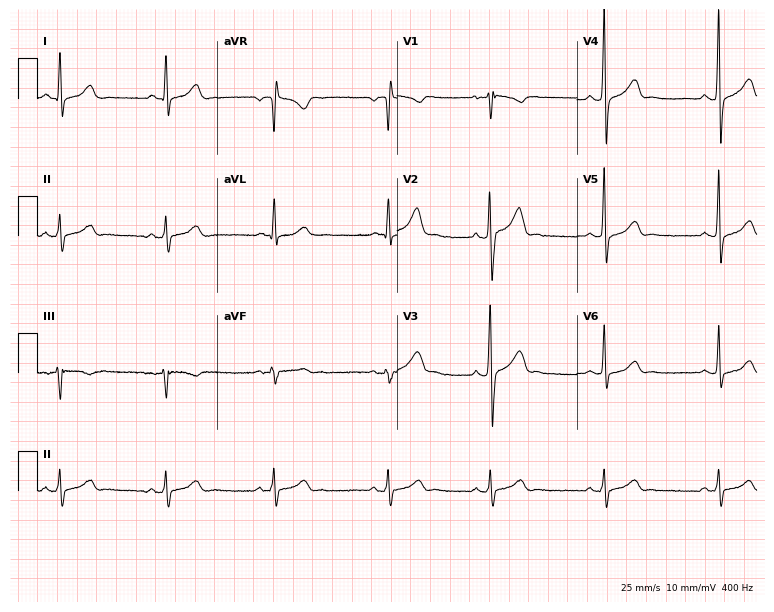
ECG (7.3-second recording at 400 Hz) — a 35-year-old male. Labelled as a normal ECG.